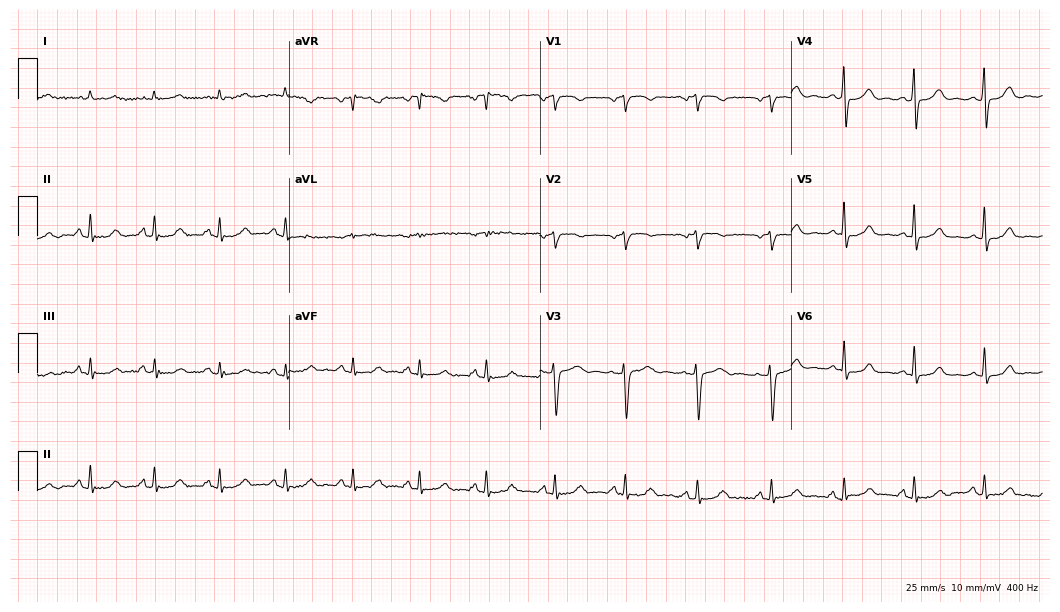
ECG — a 52-year-old female patient. Labelled as a normal ECG.